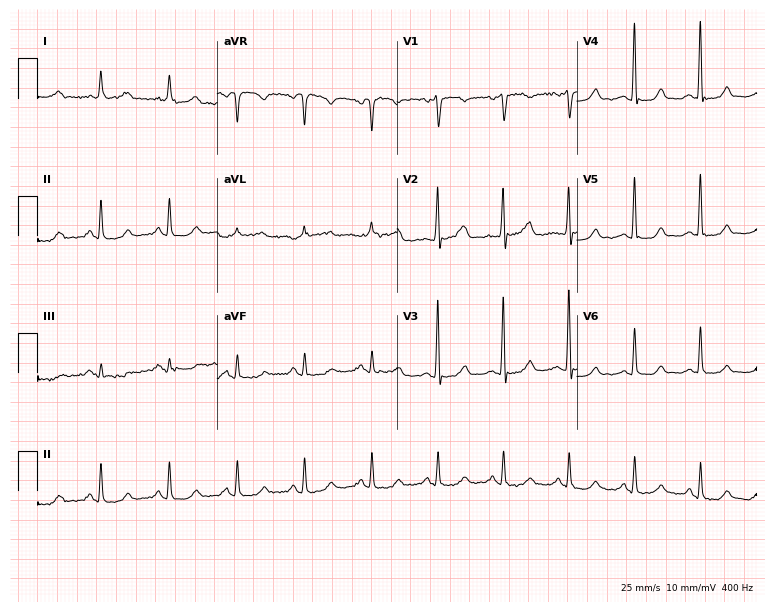
Electrocardiogram, a 59-year-old female patient. Of the six screened findings (first-degree AV block, right bundle branch block, left bundle branch block, sinus bradycardia, atrial fibrillation, sinus tachycardia), none is recorded.